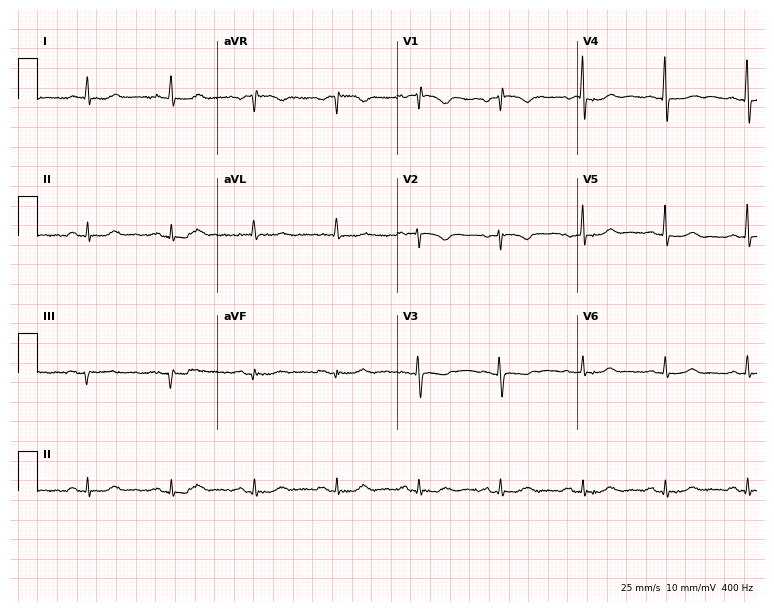
12-lead ECG from a woman, 80 years old (7.3-second recording at 400 Hz). No first-degree AV block, right bundle branch block, left bundle branch block, sinus bradycardia, atrial fibrillation or sinus tachycardia recorded for this tracing.